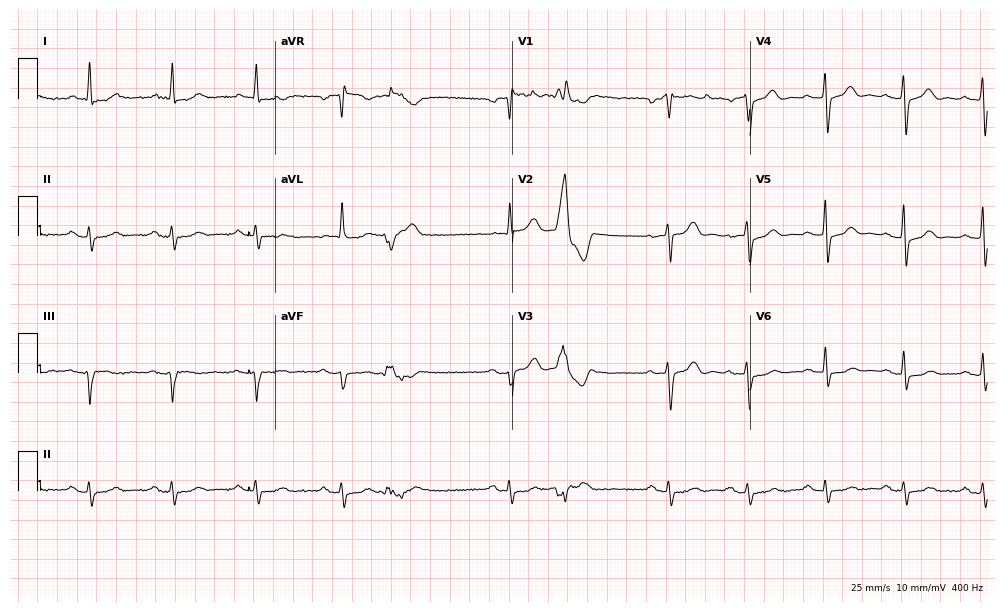
12-lead ECG from an 83-year-old male. Screened for six findings — first-degree AV block, right bundle branch block, left bundle branch block, sinus bradycardia, atrial fibrillation, sinus tachycardia — none is recorded.